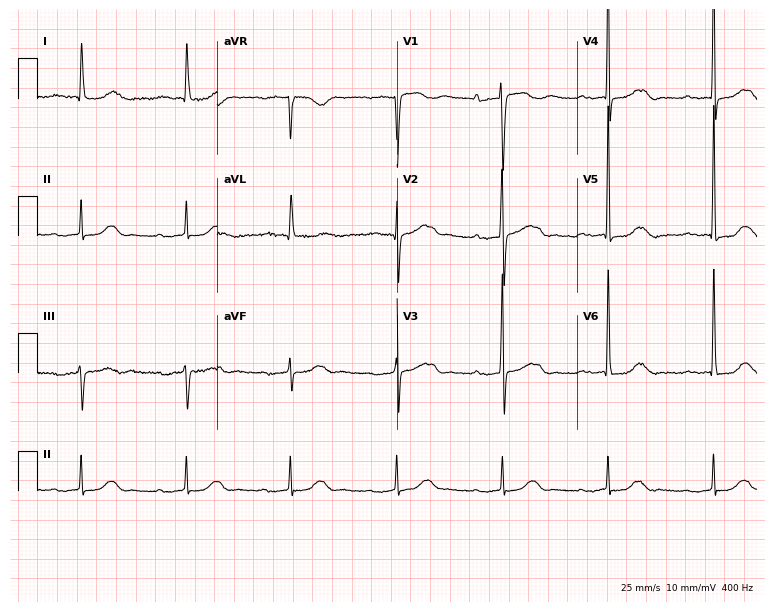
ECG — an 85-year-old female. Findings include first-degree AV block.